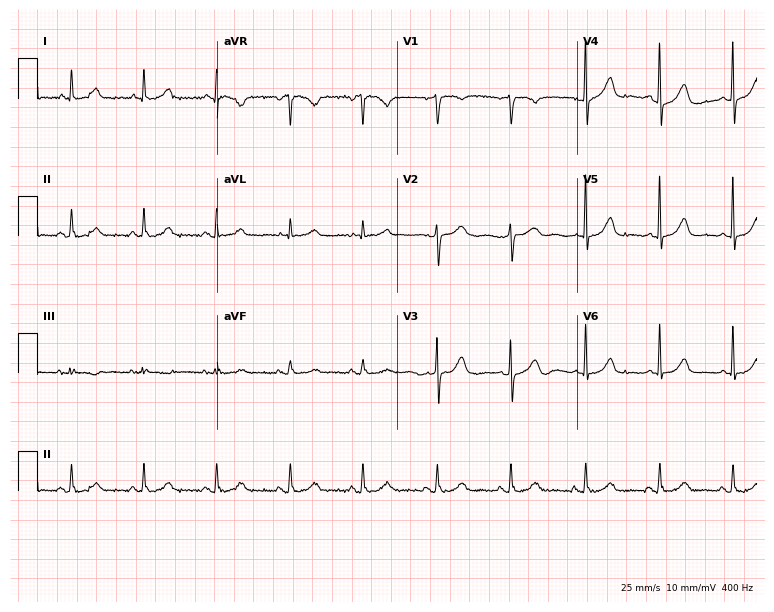
Electrocardiogram (7.3-second recording at 400 Hz), a 63-year-old female patient. Of the six screened findings (first-degree AV block, right bundle branch block, left bundle branch block, sinus bradycardia, atrial fibrillation, sinus tachycardia), none is recorded. Other findings, if any, are not listed.